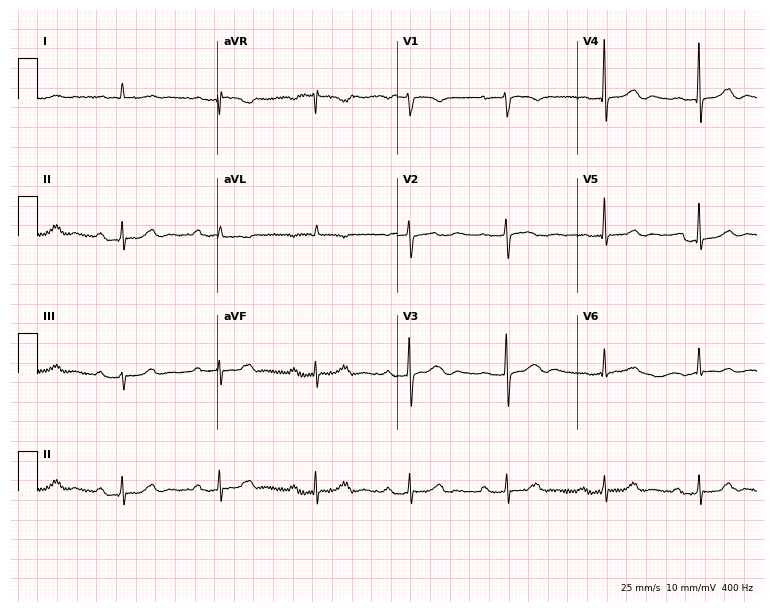
12-lead ECG from a 67-year-old female (7.3-second recording at 400 Hz). Shows first-degree AV block.